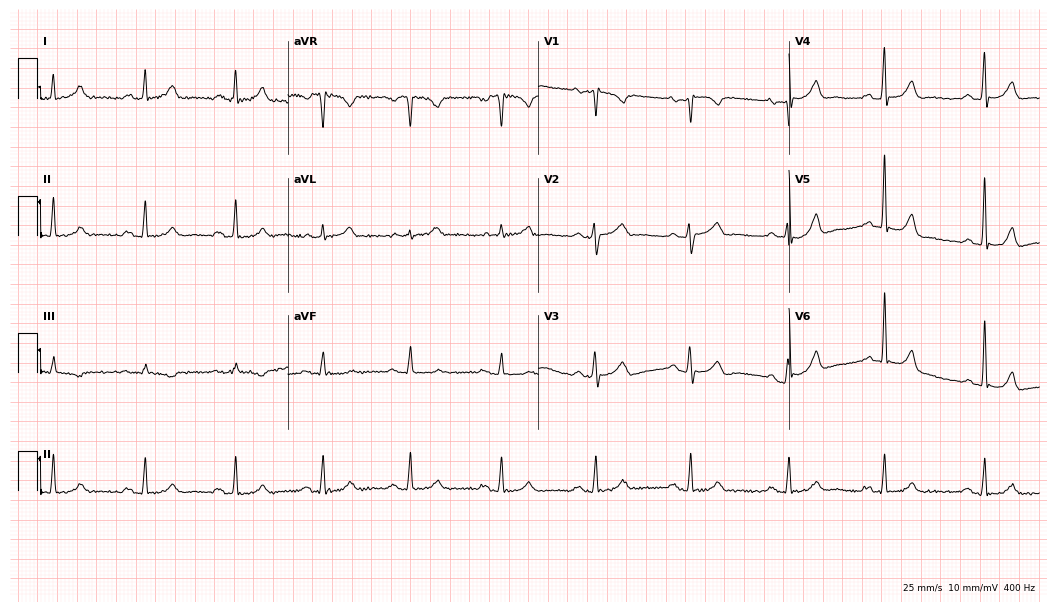
12-lead ECG from a 72-year-old man. Recorded interpretation: within normal limits.